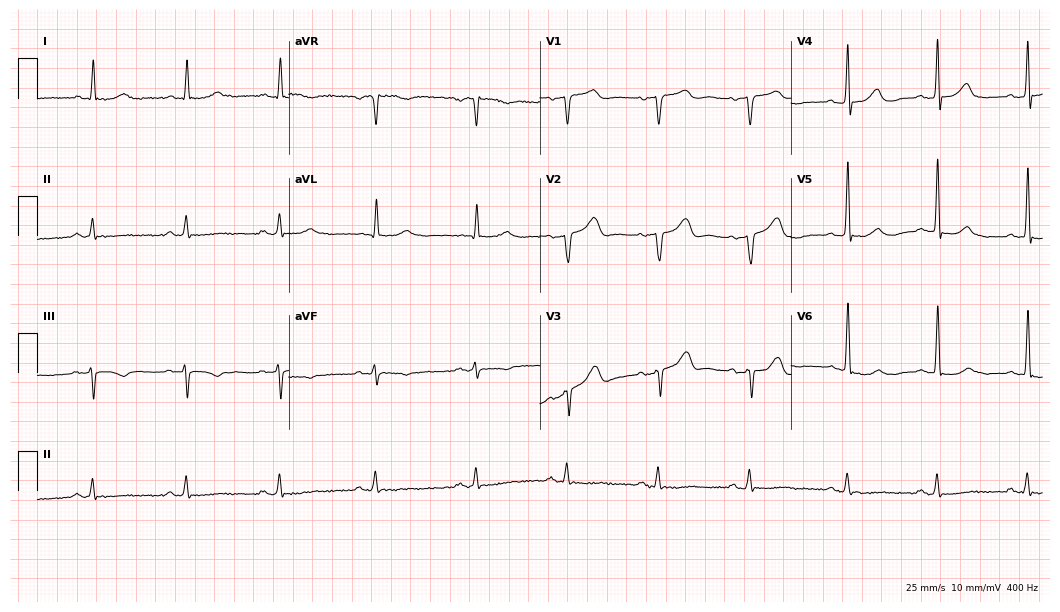
Standard 12-lead ECG recorded from a male patient, 77 years old. None of these six findings is recorded: first-degree AV block, right bundle branch block (RBBB), left bundle branch block (LBBB), sinus bradycardia, atrial fibrillation (AF), sinus tachycardia. Only these six findings were labelled.